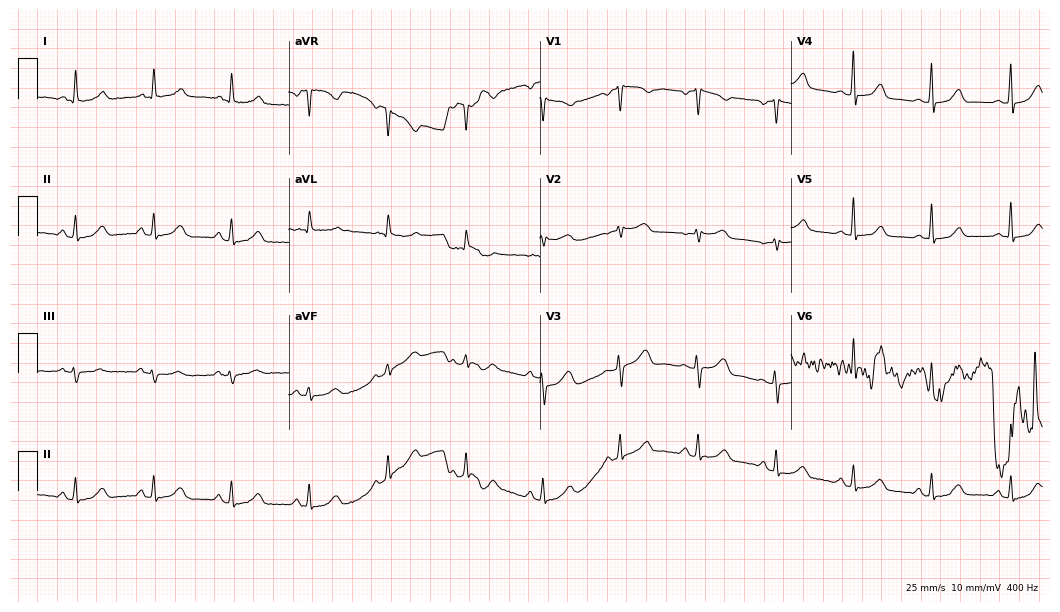
12-lead ECG (10.2-second recording at 400 Hz) from a female, 58 years old. Screened for six findings — first-degree AV block, right bundle branch block, left bundle branch block, sinus bradycardia, atrial fibrillation, sinus tachycardia — none is recorded. Only these six findings were labelled.